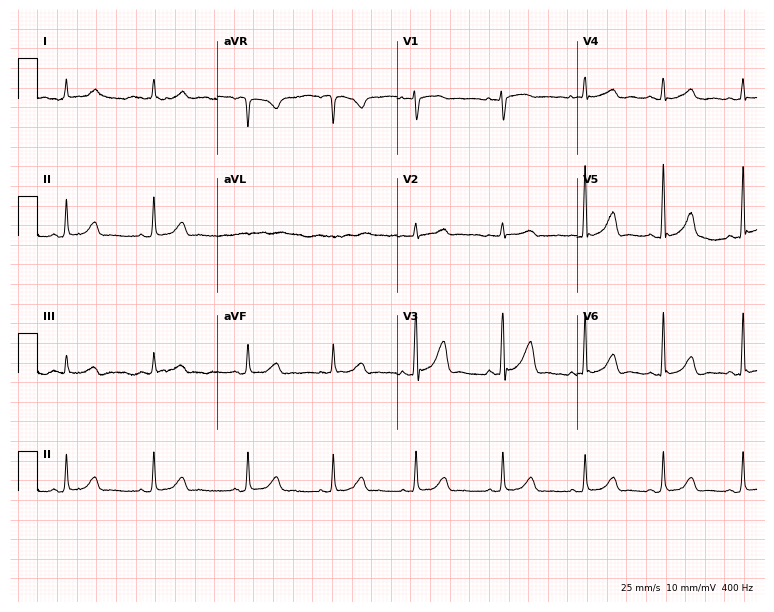
ECG — a 33-year-old woman. Screened for six findings — first-degree AV block, right bundle branch block, left bundle branch block, sinus bradycardia, atrial fibrillation, sinus tachycardia — none is recorded. Findings outside these six are not listed.